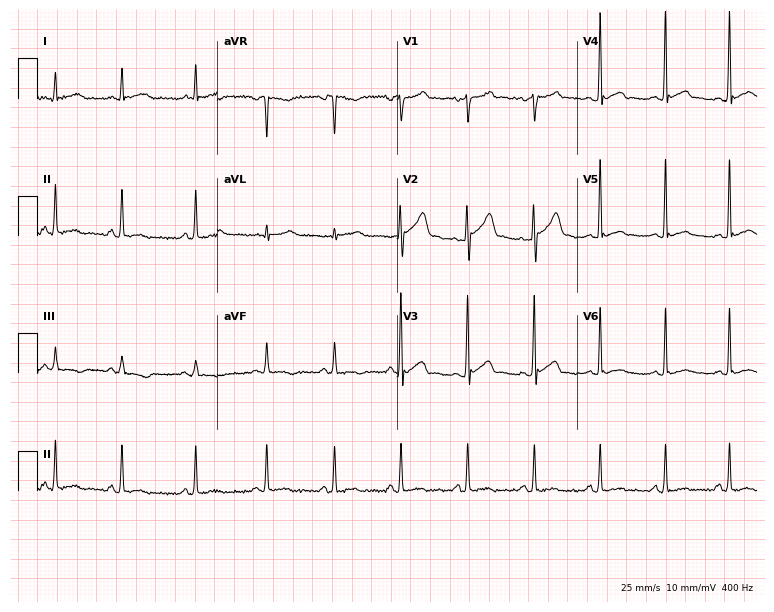
12-lead ECG (7.3-second recording at 400 Hz) from a male patient, 37 years old. Screened for six findings — first-degree AV block, right bundle branch block (RBBB), left bundle branch block (LBBB), sinus bradycardia, atrial fibrillation (AF), sinus tachycardia — none is recorded.